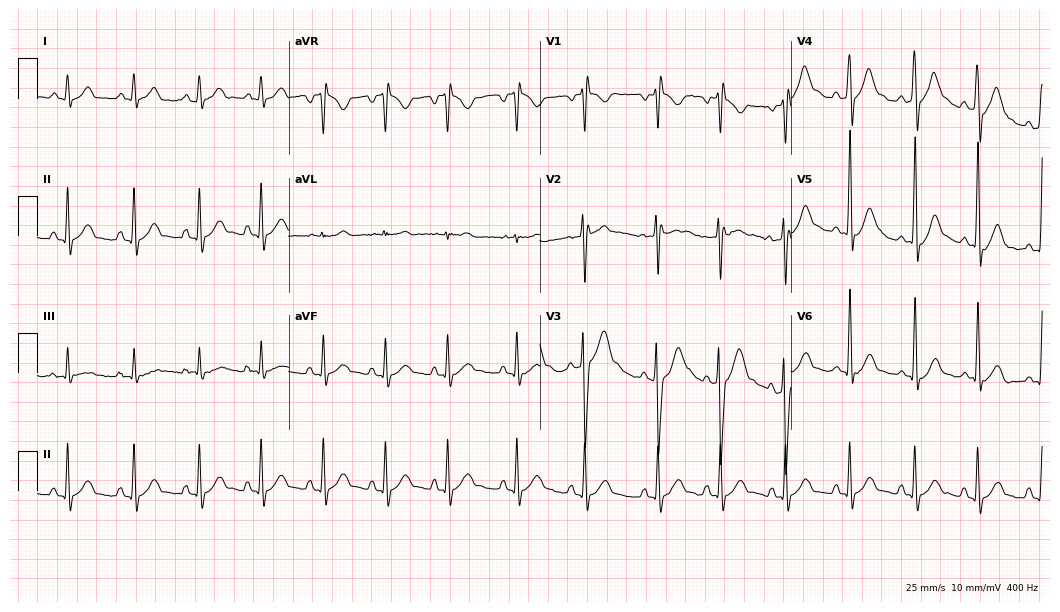
Electrocardiogram (10.2-second recording at 400 Hz), a 19-year-old male patient. Of the six screened findings (first-degree AV block, right bundle branch block, left bundle branch block, sinus bradycardia, atrial fibrillation, sinus tachycardia), none is recorded.